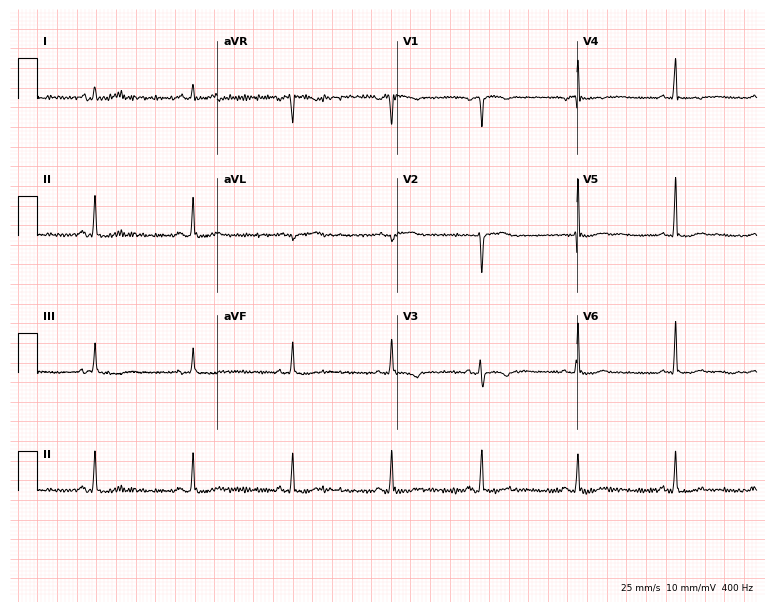
ECG — a 35-year-old female. Screened for six findings — first-degree AV block, right bundle branch block (RBBB), left bundle branch block (LBBB), sinus bradycardia, atrial fibrillation (AF), sinus tachycardia — none is recorded. Findings outside these six are not listed.